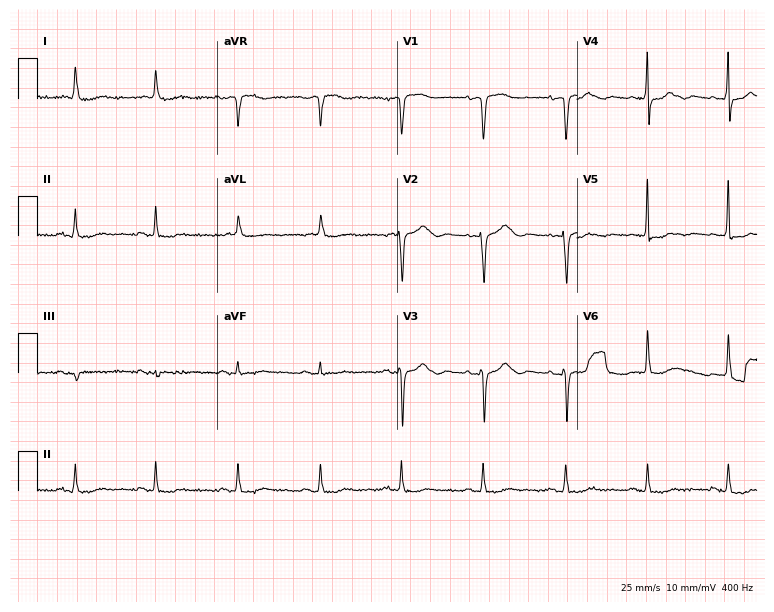
12-lead ECG (7.3-second recording at 400 Hz) from a 79-year-old female patient. Labelled as a normal ECG.